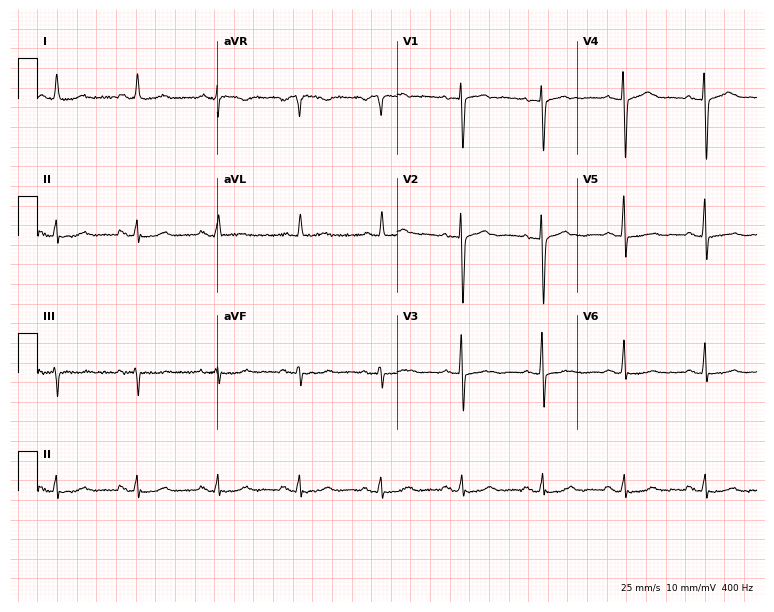
Electrocardiogram (7.3-second recording at 400 Hz), an 81-year-old female patient. Of the six screened findings (first-degree AV block, right bundle branch block (RBBB), left bundle branch block (LBBB), sinus bradycardia, atrial fibrillation (AF), sinus tachycardia), none is recorded.